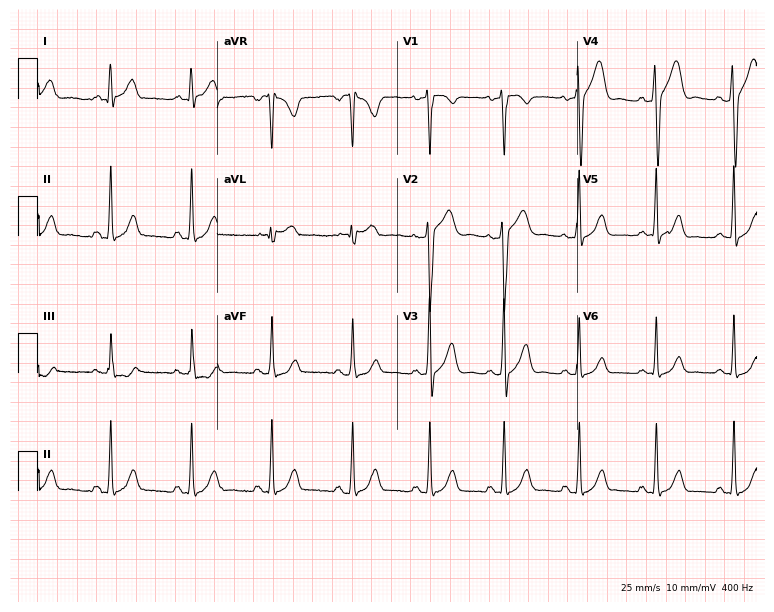
ECG (7.3-second recording at 400 Hz) — a man, 46 years old. Labelled as a normal ECG.